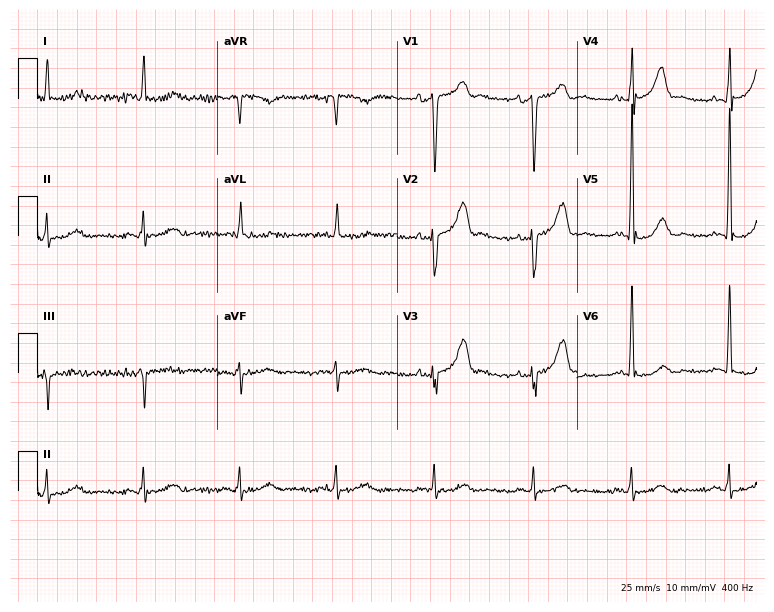
ECG — a 63-year-old man. Screened for six findings — first-degree AV block, right bundle branch block, left bundle branch block, sinus bradycardia, atrial fibrillation, sinus tachycardia — none is recorded. Only these six findings were labelled.